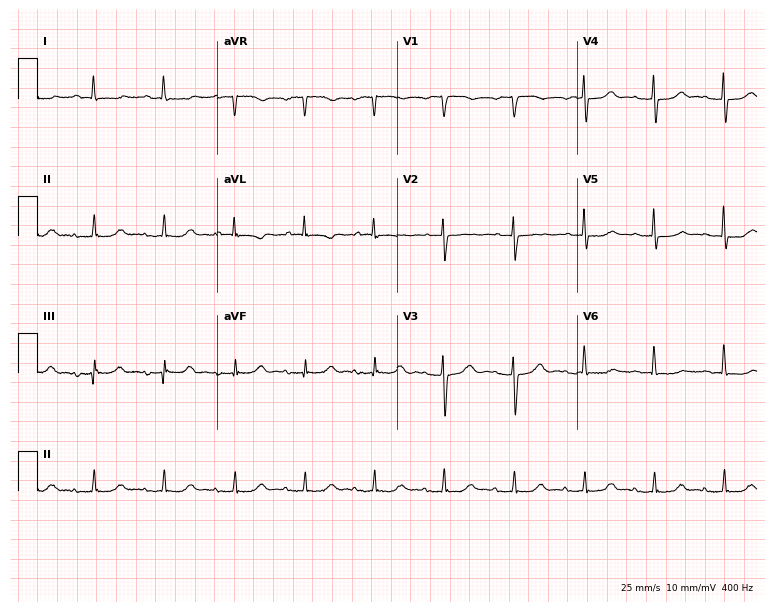
ECG — a female patient, 82 years old. Screened for six findings — first-degree AV block, right bundle branch block, left bundle branch block, sinus bradycardia, atrial fibrillation, sinus tachycardia — none is recorded. Other findings, if any, are not listed.